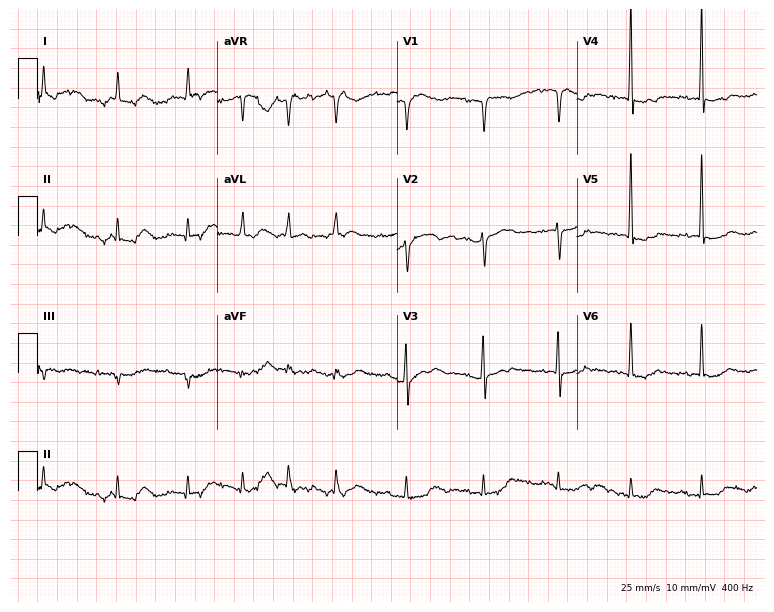
Standard 12-lead ECG recorded from a woman, 85 years old (7.3-second recording at 400 Hz). None of these six findings is recorded: first-degree AV block, right bundle branch block, left bundle branch block, sinus bradycardia, atrial fibrillation, sinus tachycardia.